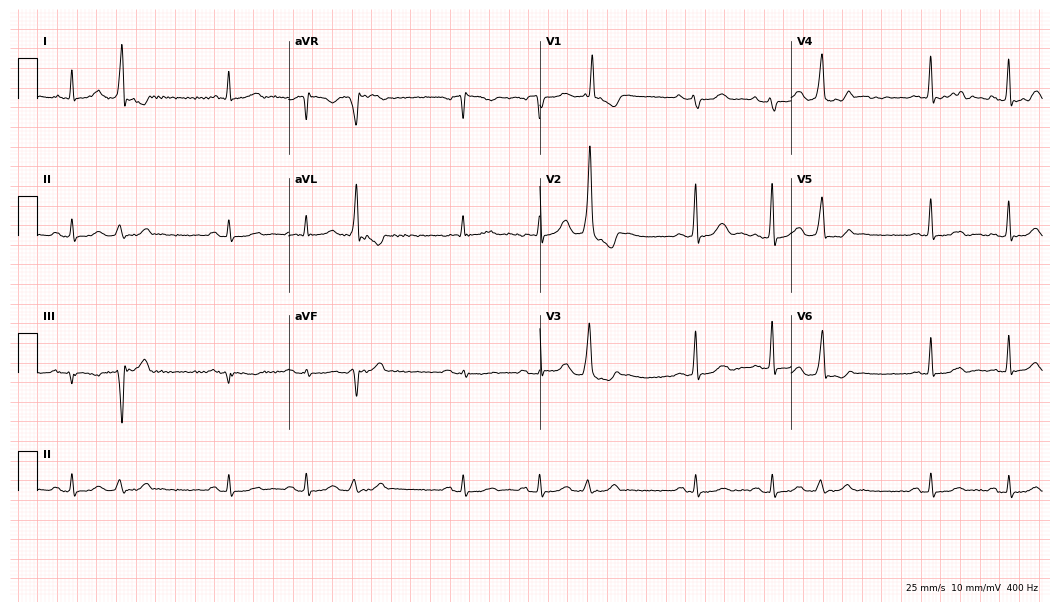
ECG — a male patient, 66 years old. Screened for six findings — first-degree AV block, right bundle branch block, left bundle branch block, sinus bradycardia, atrial fibrillation, sinus tachycardia — none is recorded. Other findings, if any, are not listed.